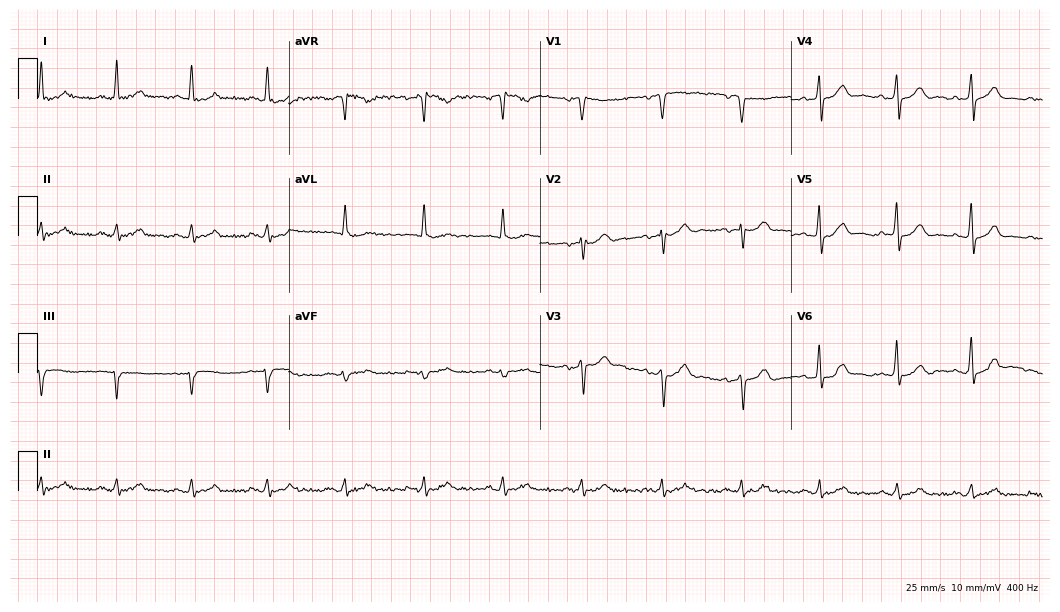
Standard 12-lead ECG recorded from a male, 59 years old (10.2-second recording at 400 Hz). Read as a normal ECG.